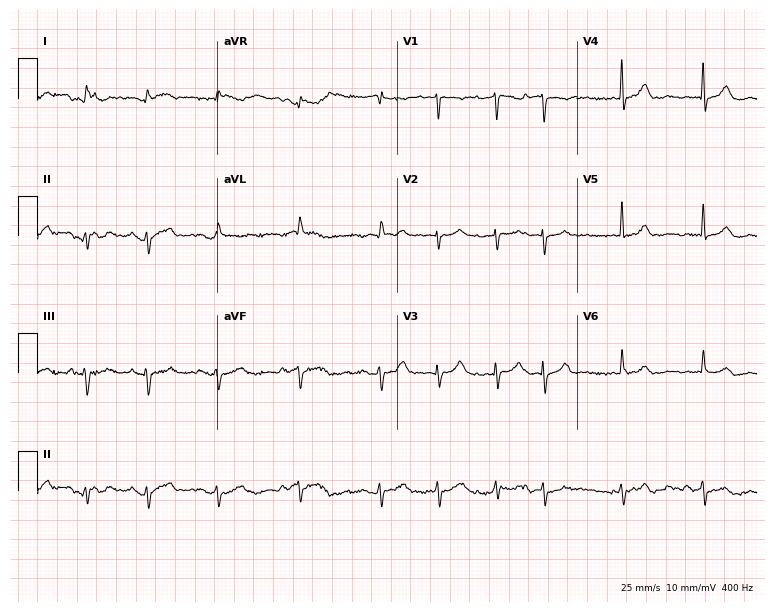
Standard 12-lead ECG recorded from a male, 85 years old (7.3-second recording at 400 Hz). None of these six findings is recorded: first-degree AV block, right bundle branch block, left bundle branch block, sinus bradycardia, atrial fibrillation, sinus tachycardia. Other findings, if any, are not listed.